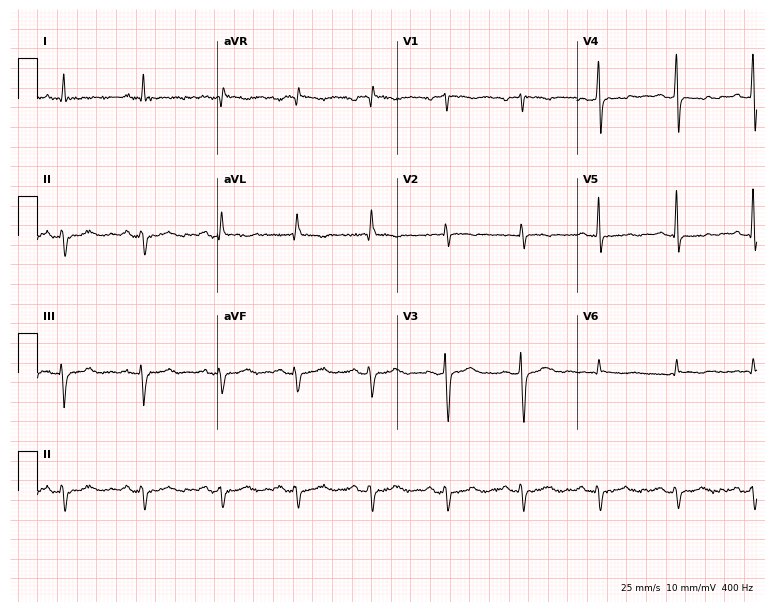
Standard 12-lead ECG recorded from a 73-year-old male. Read as a normal ECG.